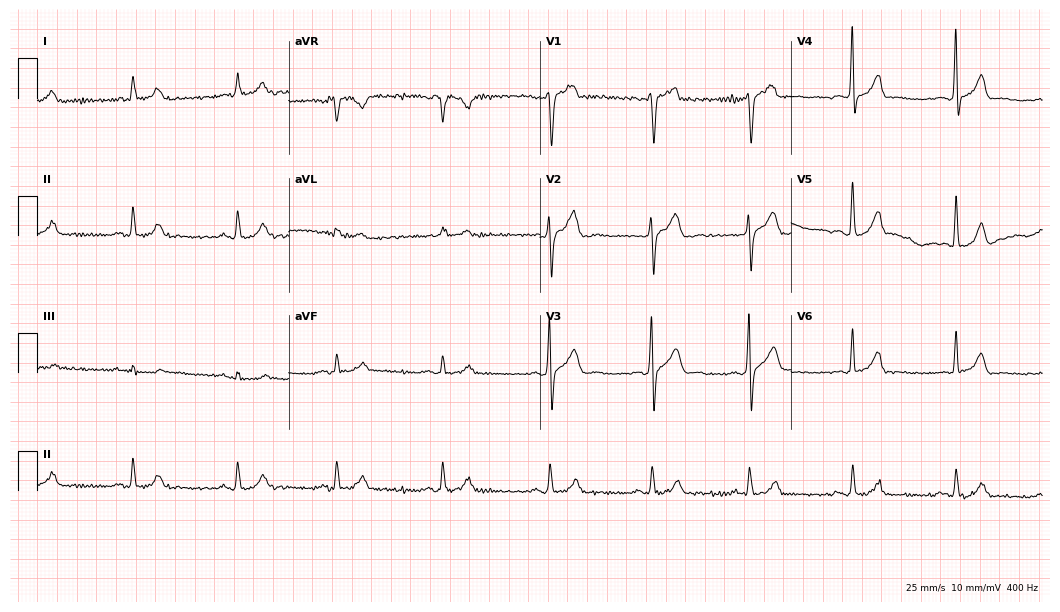
12-lead ECG from a man, 40 years old. Screened for six findings — first-degree AV block, right bundle branch block, left bundle branch block, sinus bradycardia, atrial fibrillation, sinus tachycardia — none is recorded. Other findings, if any, are not listed.